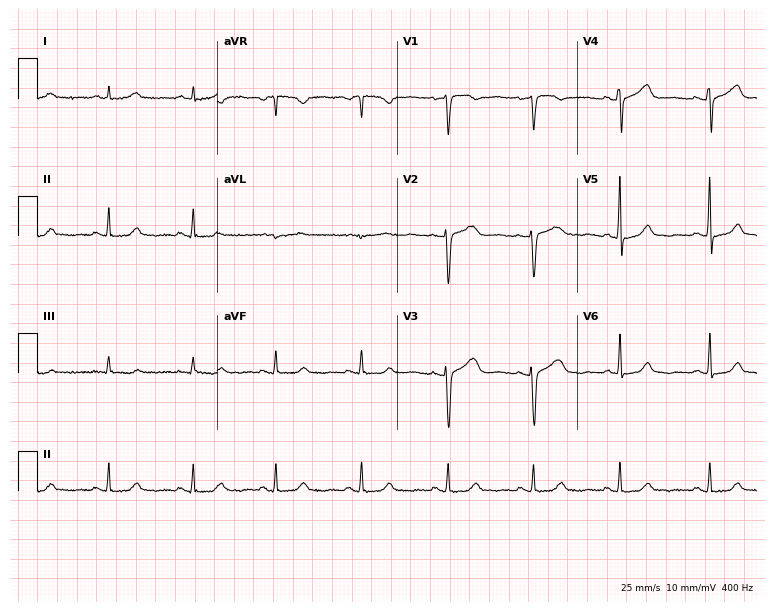
Standard 12-lead ECG recorded from a 49-year-old woman. None of these six findings is recorded: first-degree AV block, right bundle branch block, left bundle branch block, sinus bradycardia, atrial fibrillation, sinus tachycardia.